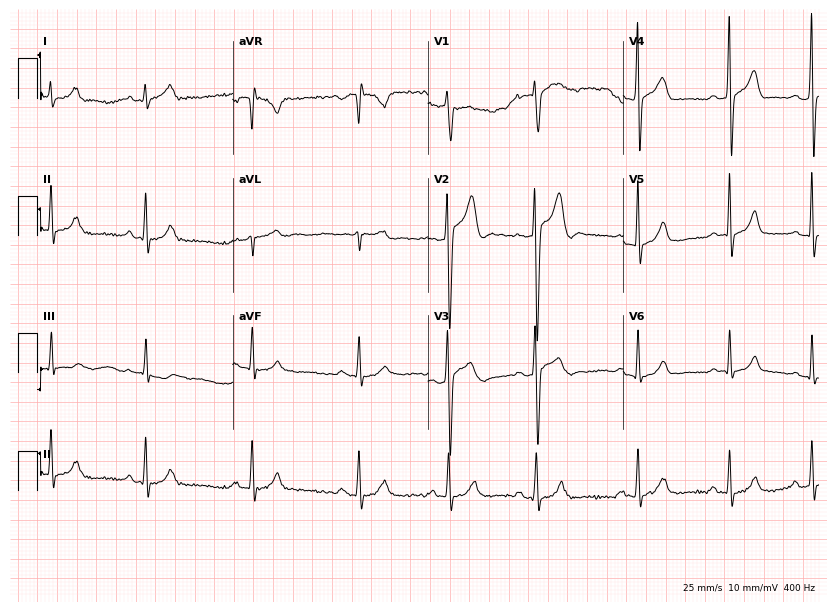
12-lead ECG from a male, 17 years old. Labelled as a normal ECG.